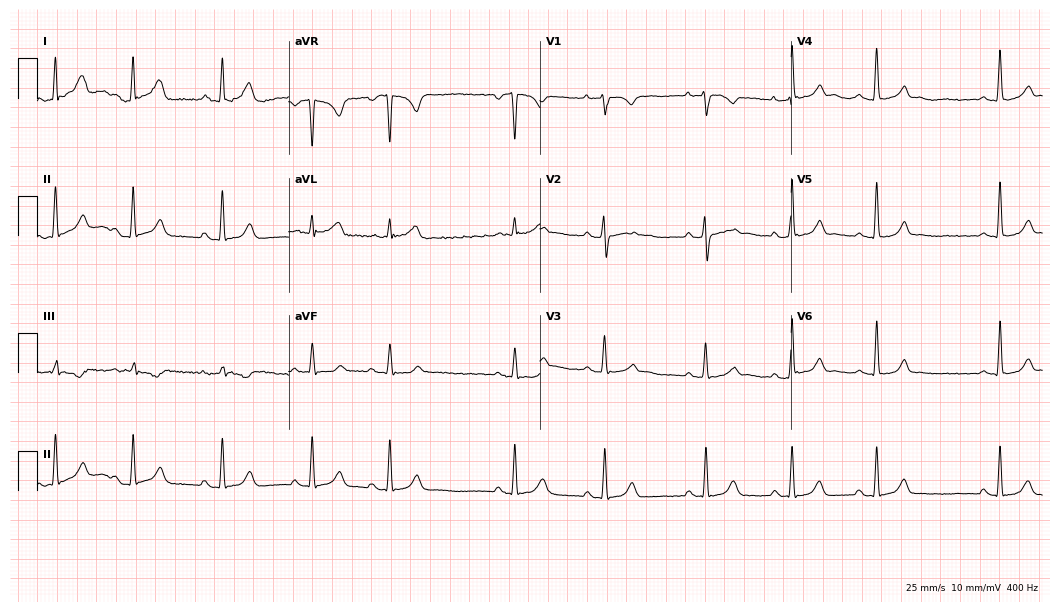
Standard 12-lead ECG recorded from a woman, 32 years old (10.2-second recording at 400 Hz). Read as a normal ECG.